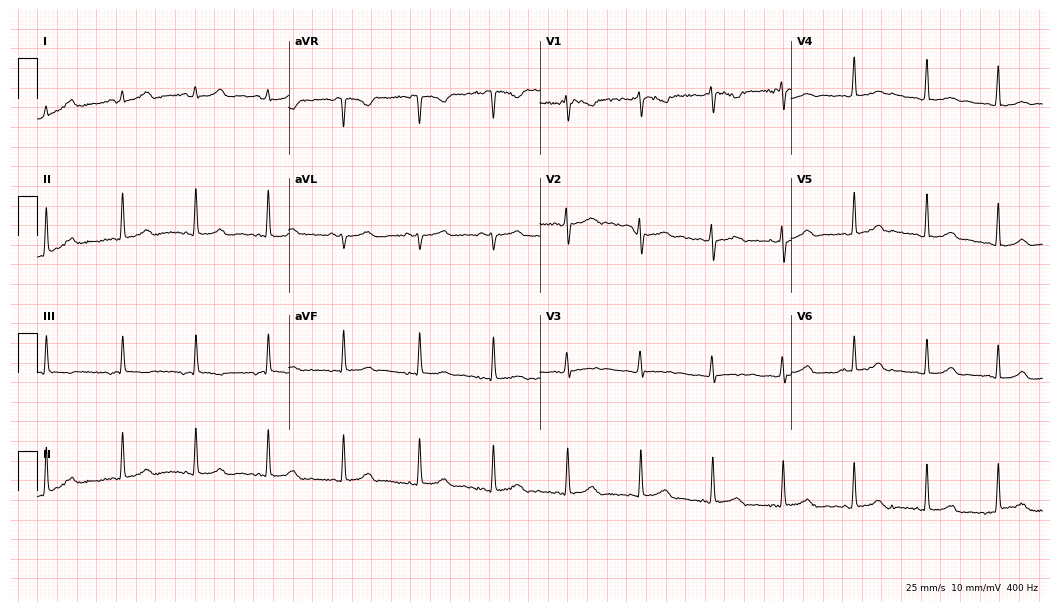
Standard 12-lead ECG recorded from a woman, 24 years old (10.2-second recording at 400 Hz). None of these six findings is recorded: first-degree AV block, right bundle branch block, left bundle branch block, sinus bradycardia, atrial fibrillation, sinus tachycardia.